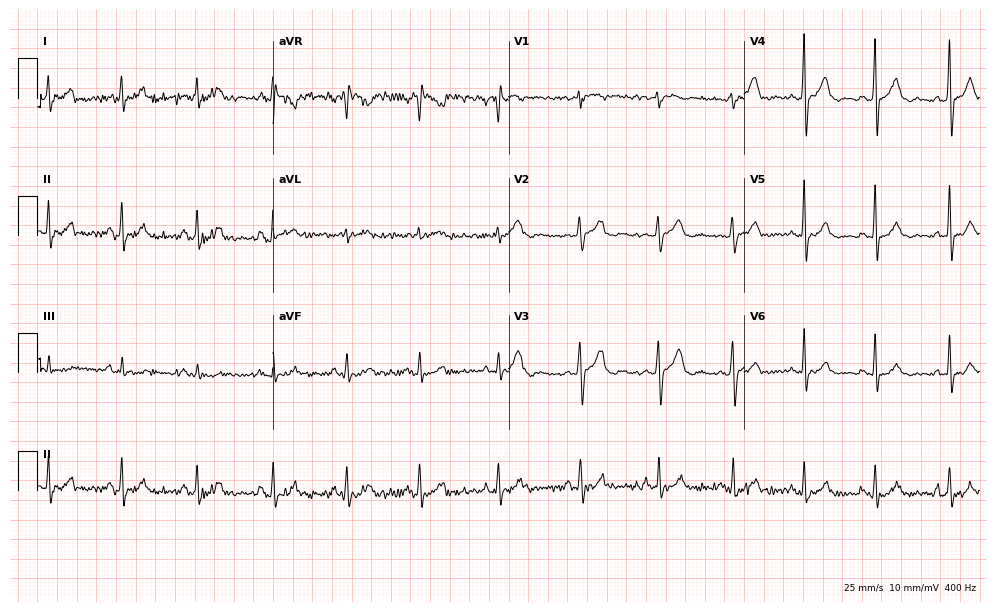
ECG — a female, 30 years old. Screened for six findings — first-degree AV block, right bundle branch block (RBBB), left bundle branch block (LBBB), sinus bradycardia, atrial fibrillation (AF), sinus tachycardia — none is recorded.